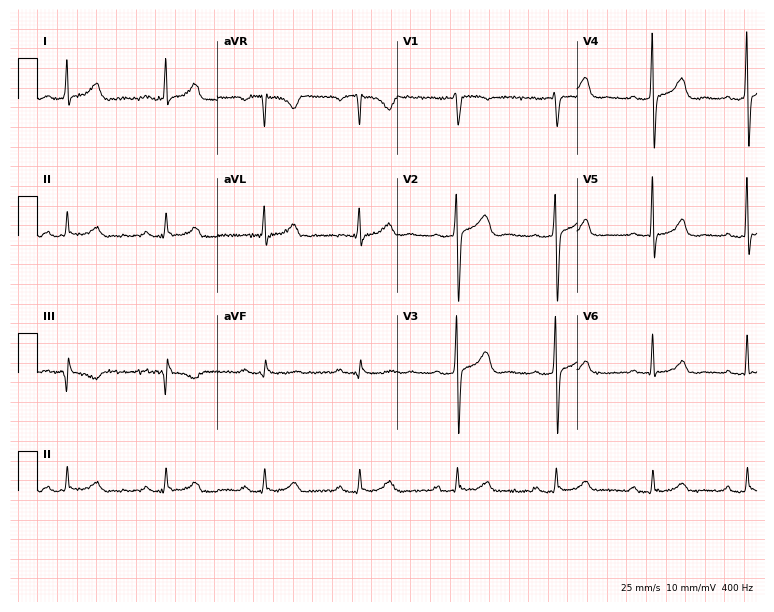
12-lead ECG (7.3-second recording at 400 Hz) from a 37-year-old female. Findings include first-degree AV block.